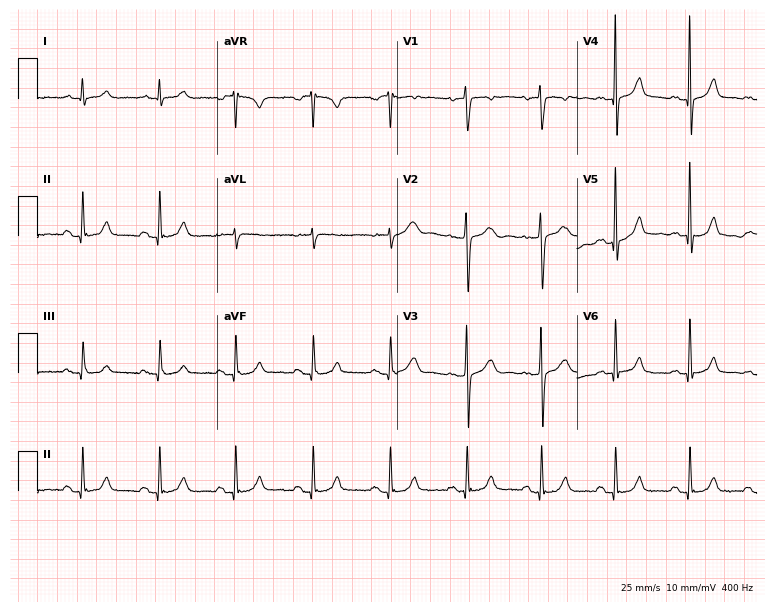
Resting 12-lead electrocardiogram (7.3-second recording at 400 Hz). Patient: a male, 53 years old. Read as a normal ECG.